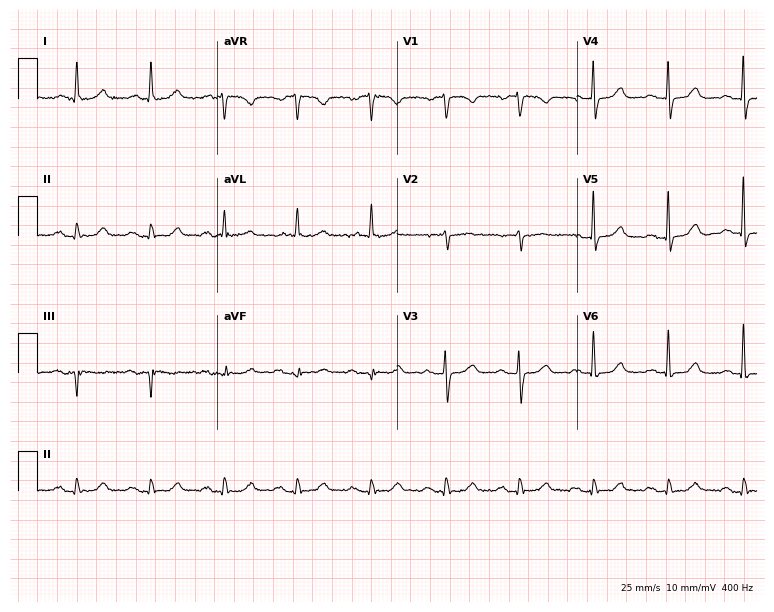
Resting 12-lead electrocardiogram. Patient: a 73-year-old female. Read as a normal ECG.